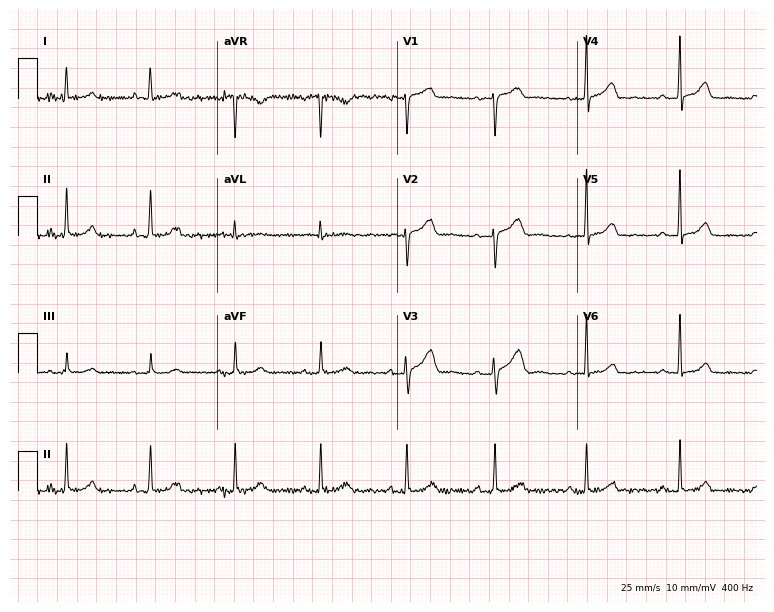
ECG — a woman, 46 years old. Labelled as a normal ECG.